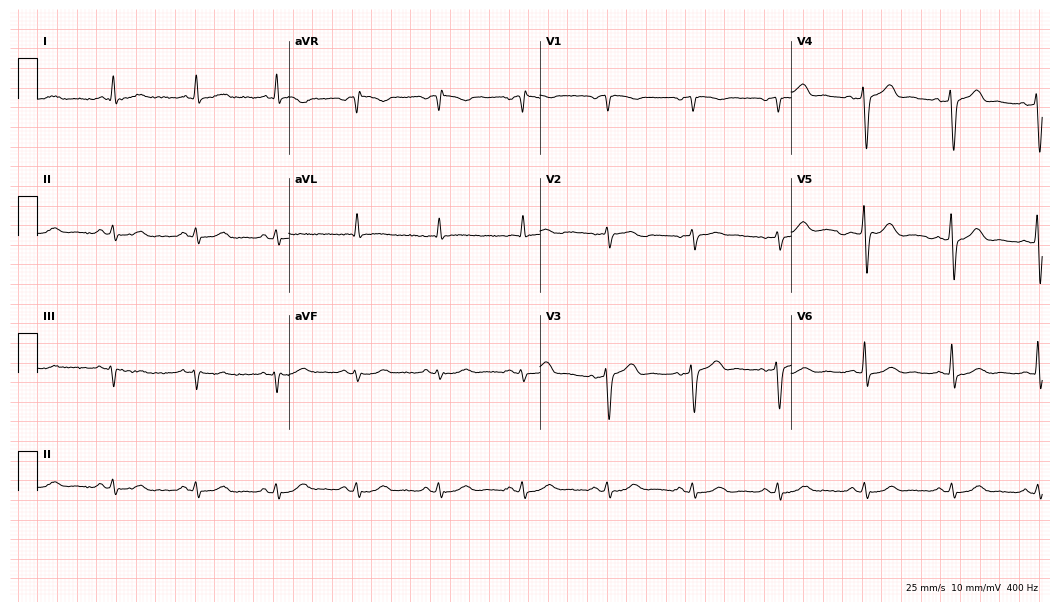
ECG — a 64-year-old male patient. Screened for six findings — first-degree AV block, right bundle branch block, left bundle branch block, sinus bradycardia, atrial fibrillation, sinus tachycardia — none is recorded. Findings outside these six are not listed.